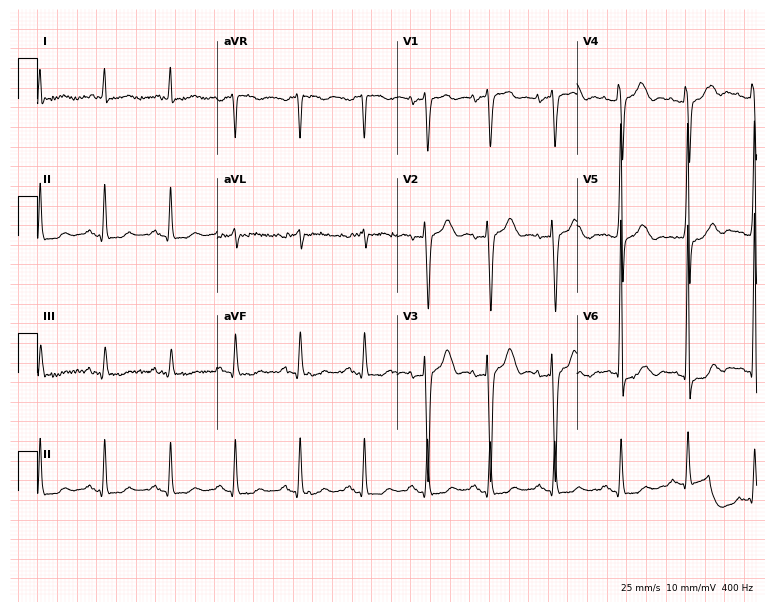
ECG (7.3-second recording at 400 Hz) — a 78-year-old male. Screened for six findings — first-degree AV block, right bundle branch block (RBBB), left bundle branch block (LBBB), sinus bradycardia, atrial fibrillation (AF), sinus tachycardia — none is recorded. Other findings, if any, are not listed.